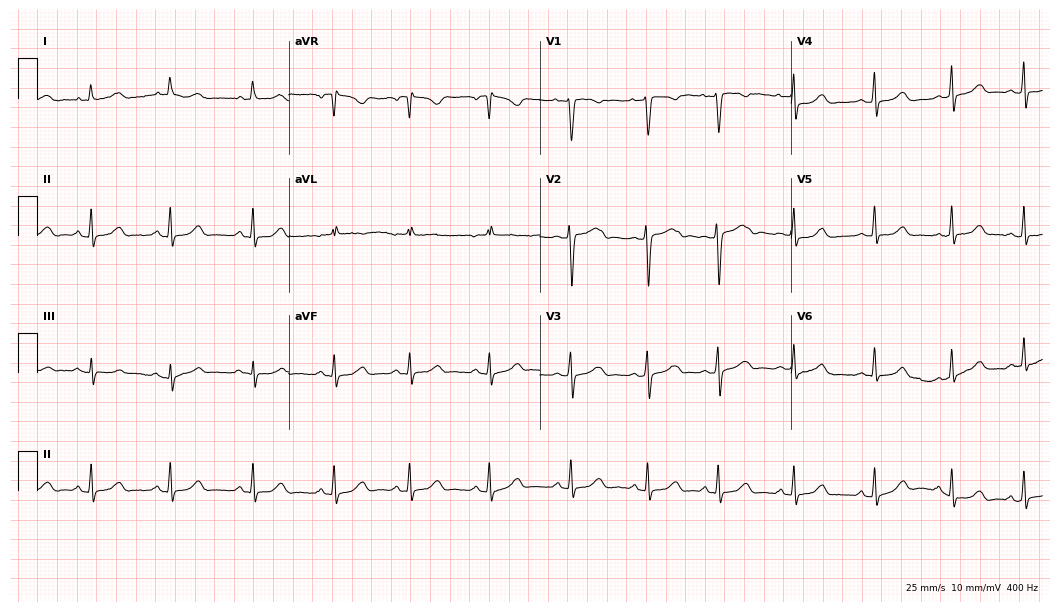
12-lead ECG from a woman, 22 years old. No first-degree AV block, right bundle branch block, left bundle branch block, sinus bradycardia, atrial fibrillation or sinus tachycardia recorded for this tracing. Only these six findings were labelled.